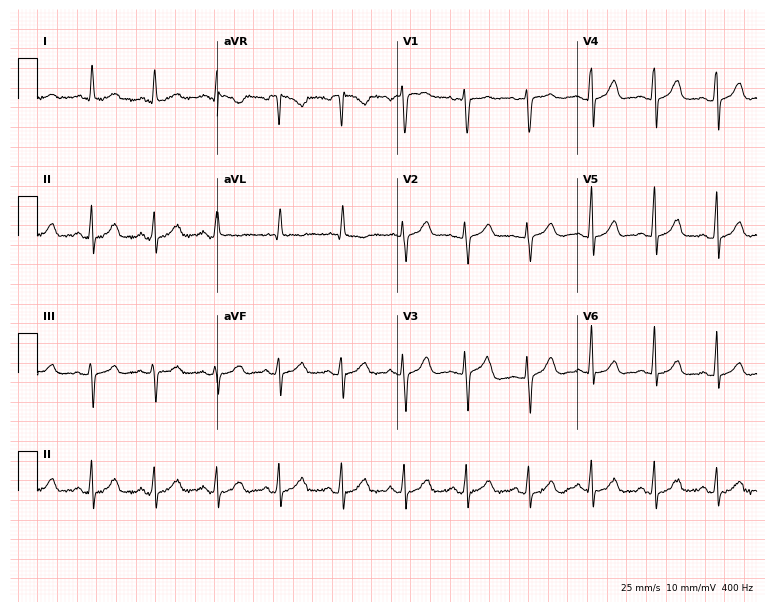
Standard 12-lead ECG recorded from a 58-year-old female (7.3-second recording at 400 Hz). None of these six findings is recorded: first-degree AV block, right bundle branch block, left bundle branch block, sinus bradycardia, atrial fibrillation, sinus tachycardia.